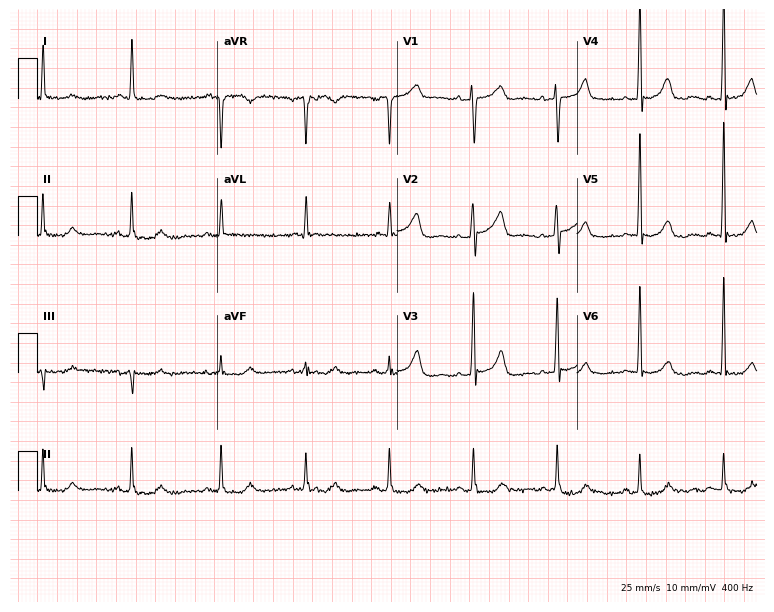
Resting 12-lead electrocardiogram (7.3-second recording at 400 Hz). Patient: a female, 63 years old. None of these six findings is recorded: first-degree AV block, right bundle branch block, left bundle branch block, sinus bradycardia, atrial fibrillation, sinus tachycardia. Only these six findings were labelled.